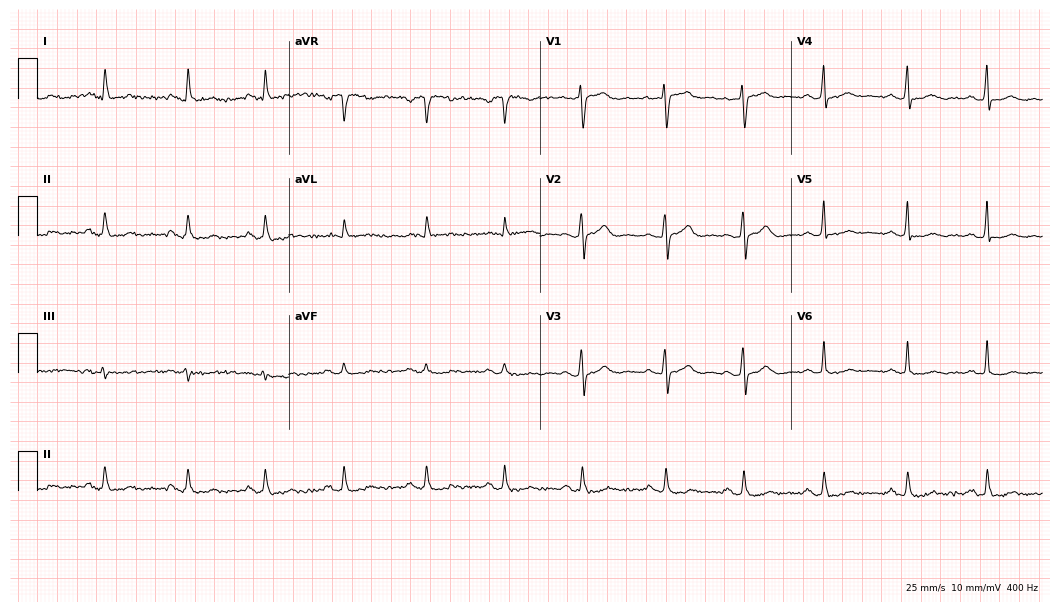
12-lead ECG from a 39-year-old female patient. No first-degree AV block, right bundle branch block (RBBB), left bundle branch block (LBBB), sinus bradycardia, atrial fibrillation (AF) or sinus tachycardia recorded for this tracing.